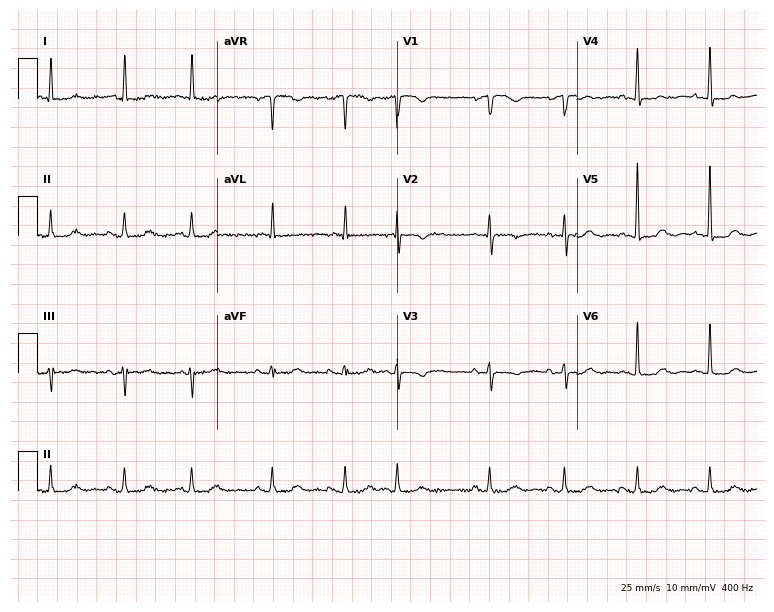
12-lead ECG from a 79-year-old female patient. Screened for six findings — first-degree AV block, right bundle branch block, left bundle branch block, sinus bradycardia, atrial fibrillation, sinus tachycardia — none is recorded. Other findings, if any, are not listed.